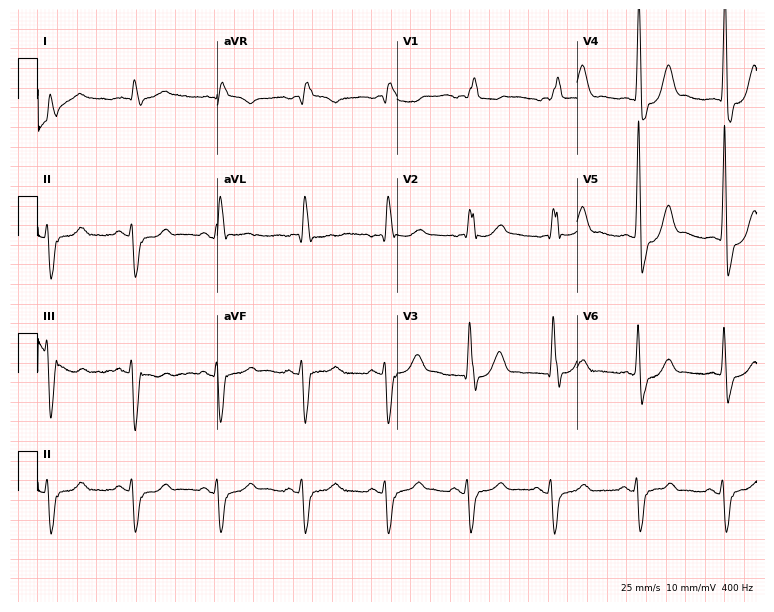
Resting 12-lead electrocardiogram. Patient: a male, 79 years old. The tracing shows right bundle branch block.